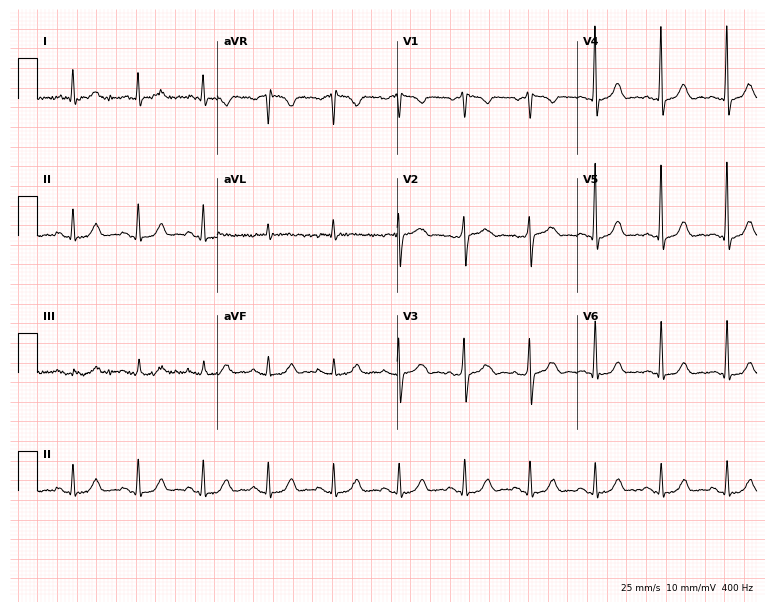
Resting 12-lead electrocardiogram (7.3-second recording at 400 Hz). Patient: a male, 62 years old. Read as a normal ECG.